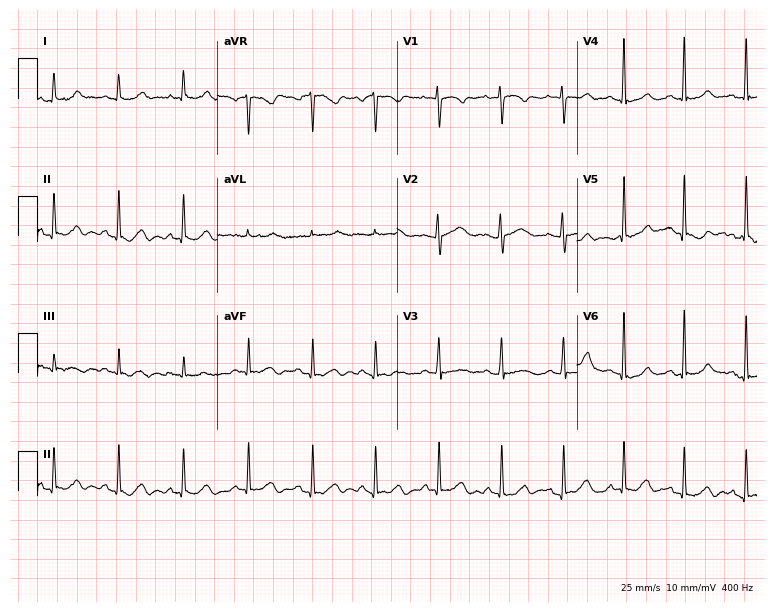
ECG (7.3-second recording at 400 Hz) — a 28-year-old woman. Labelled as a normal ECG.